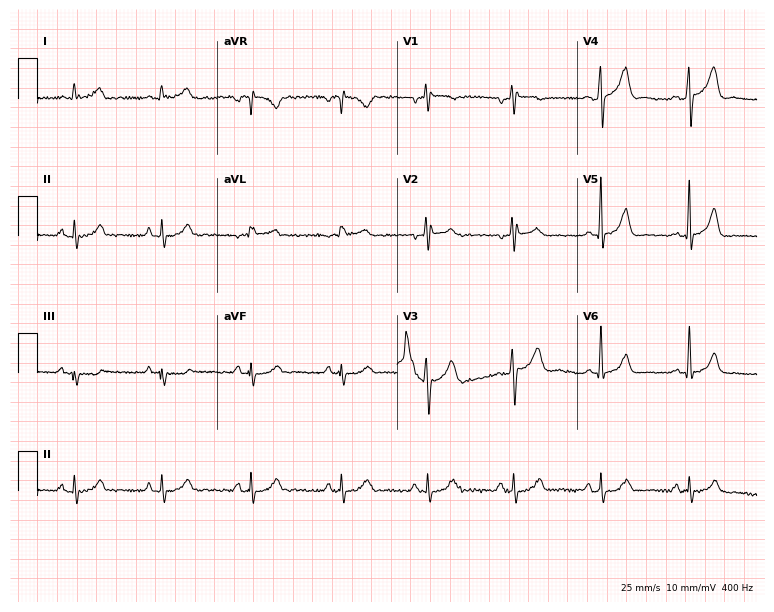
Standard 12-lead ECG recorded from a 49-year-old male. None of these six findings is recorded: first-degree AV block, right bundle branch block, left bundle branch block, sinus bradycardia, atrial fibrillation, sinus tachycardia.